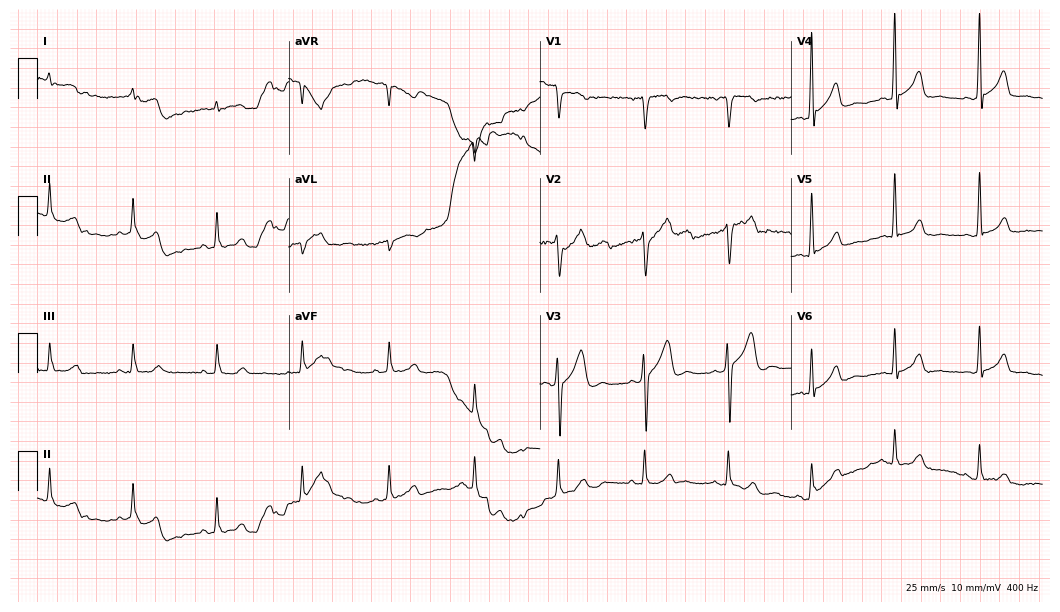
12-lead ECG from a 64-year-old male (10.2-second recording at 400 Hz). Recorded interpretation: within normal limits.